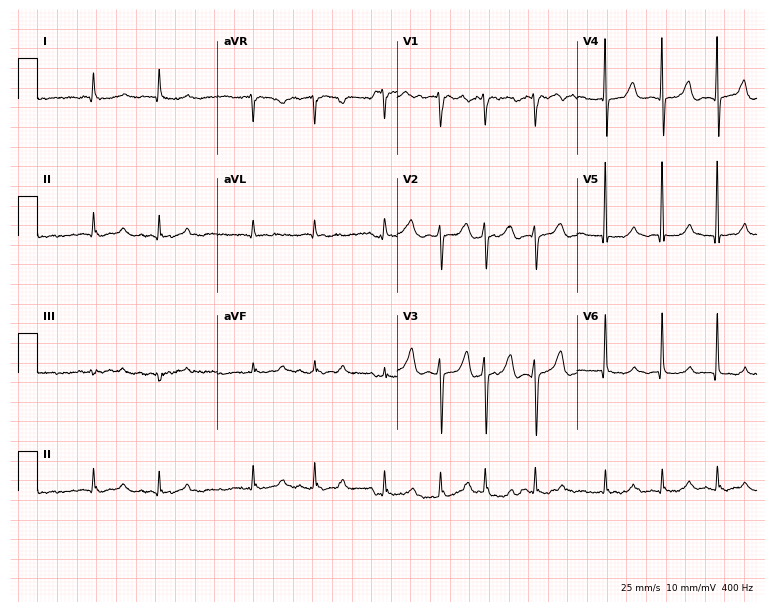
Resting 12-lead electrocardiogram (7.3-second recording at 400 Hz). Patient: a male, 85 years old. The tracing shows atrial fibrillation.